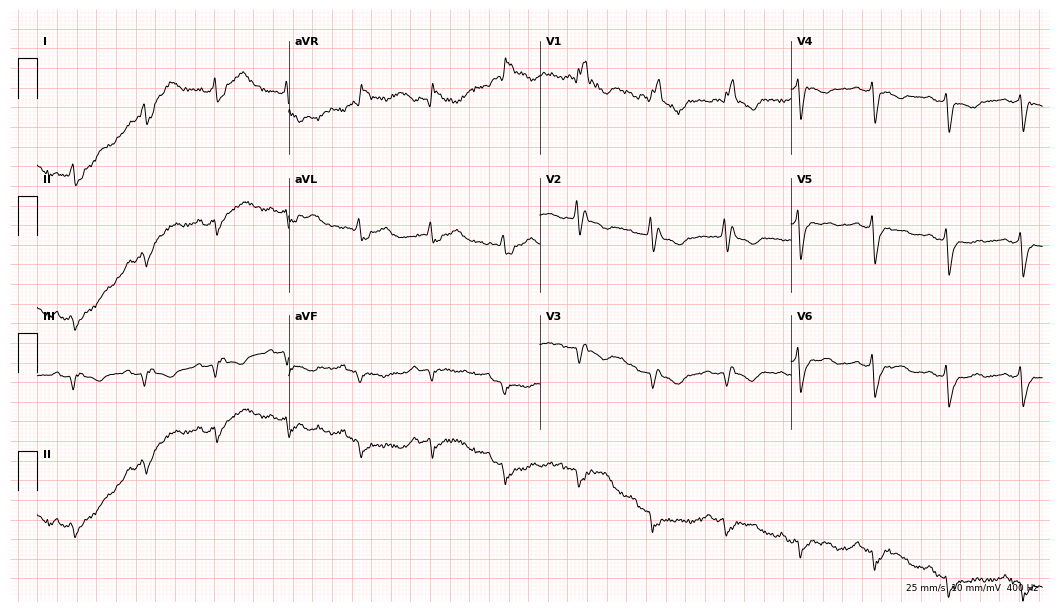
12-lead ECG (10.2-second recording at 400 Hz) from a 74-year-old female patient. Screened for six findings — first-degree AV block, right bundle branch block (RBBB), left bundle branch block (LBBB), sinus bradycardia, atrial fibrillation (AF), sinus tachycardia — none is recorded. Other findings, if any, are not listed.